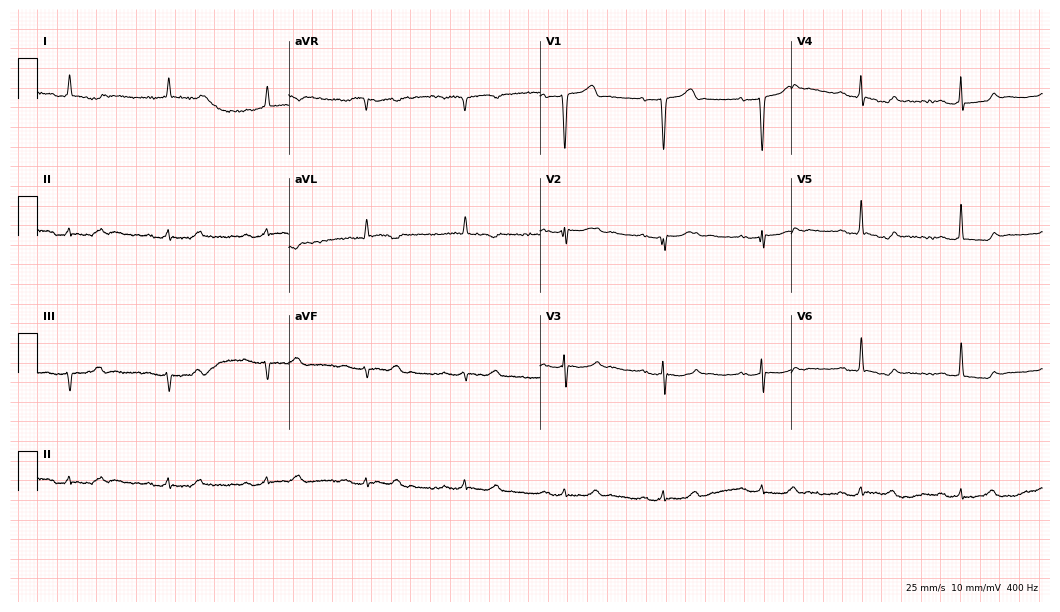
12-lead ECG from a male patient, 86 years old (10.2-second recording at 400 Hz). Shows first-degree AV block.